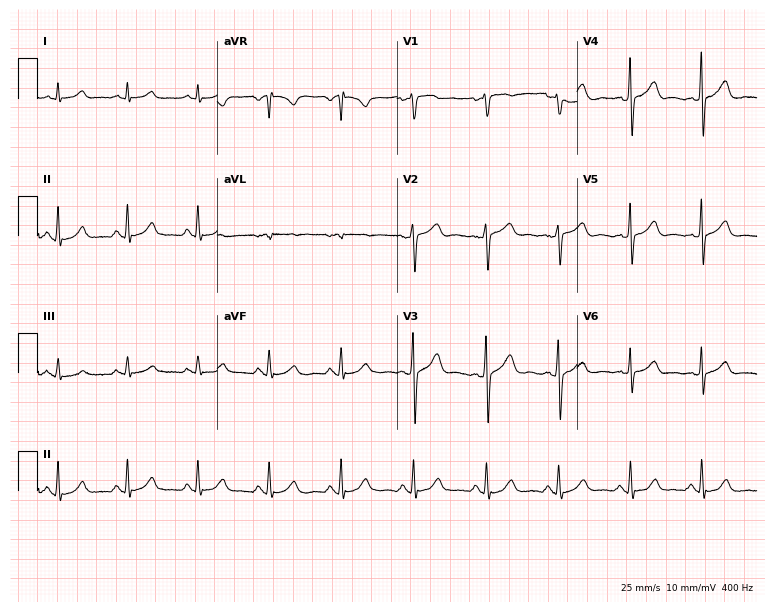
Electrocardiogram, a 46-year-old male. Of the six screened findings (first-degree AV block, right bundle branch block, left bundle branch block, sinus bradycardia, atrial fibrillation, sinus tachycardia), none is recorded. Findings outside these six are not listed.